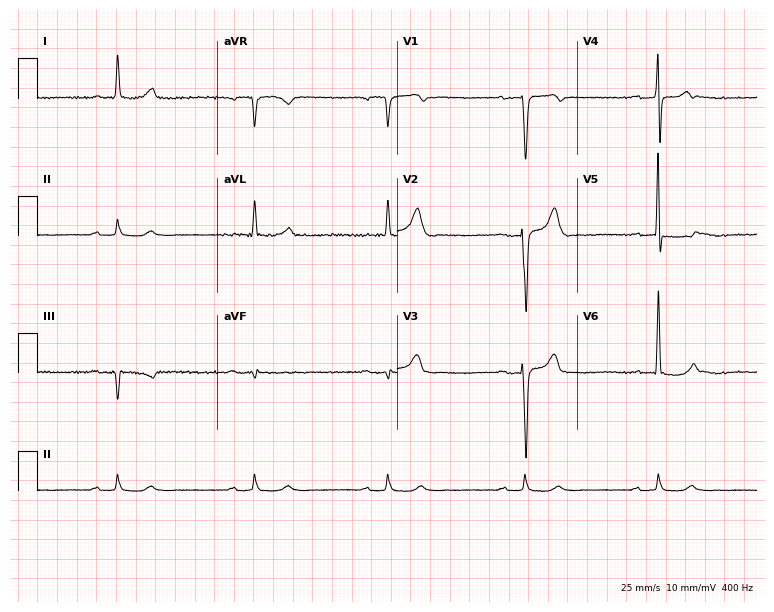
12-lead ECG from a male patient, 70 years old (7.3-second recording at 400 Hz). Shows sinus bradycardia (a sinus rate of 50 beats per minute or less).